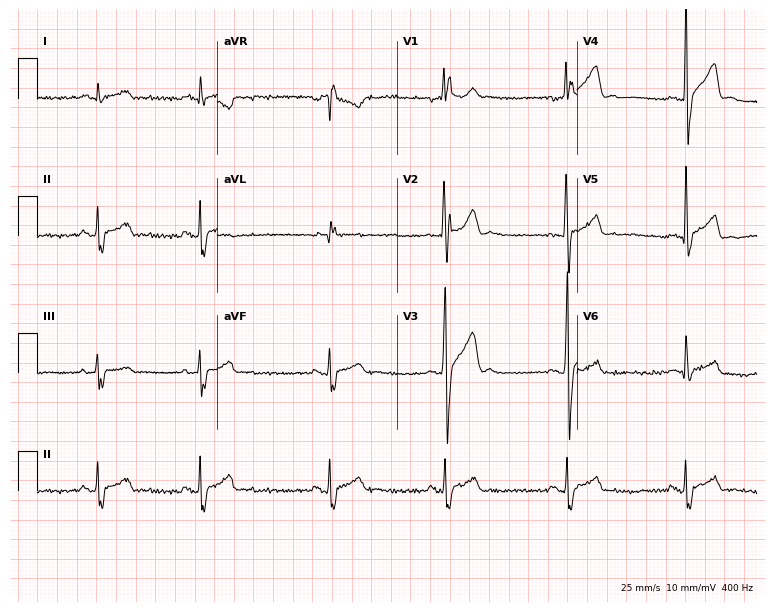
12-lead ECG from an 18-year-old man (7.3-second recording at 400 Hz). Shows right bundle branch block (RBBB), sinus bradycardia (a sinus rate of 50 beats per minute or less).